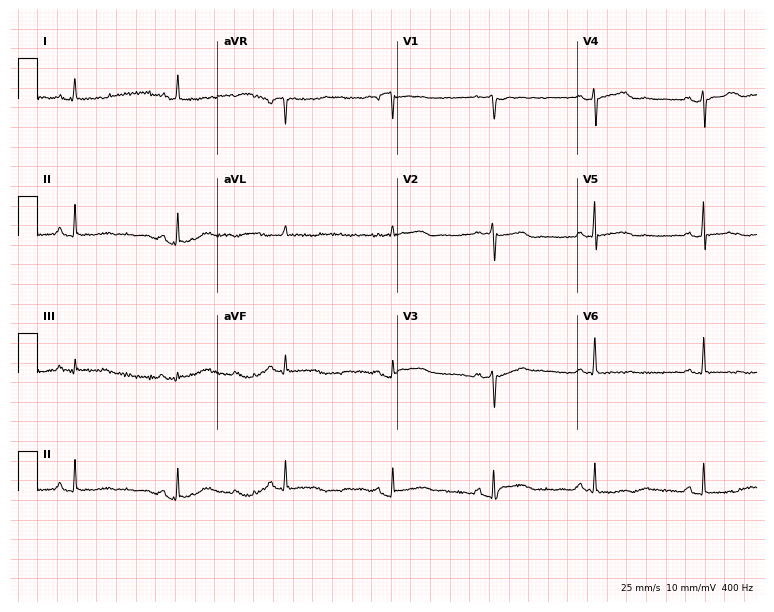
Resting 12-lead electrocardiogram. Patient: a 60-year-old woman. The tracing shows sinus bradycardia (a sinus rate of 50 beats per minute or less).